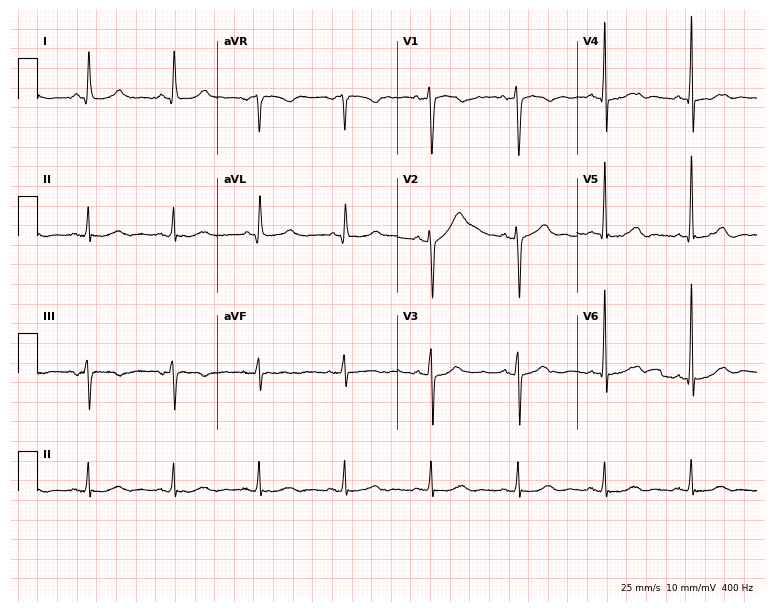
ECG — a 70-year-old man. Screened for six findings — first-degree AV block, right bundle branch block (RBBB), left bundle branch block (LBBB), sinus bradycardia, atrial fibrillation (AF), sinus tachycardia — none is recorded. Findings outside these six are not listed.